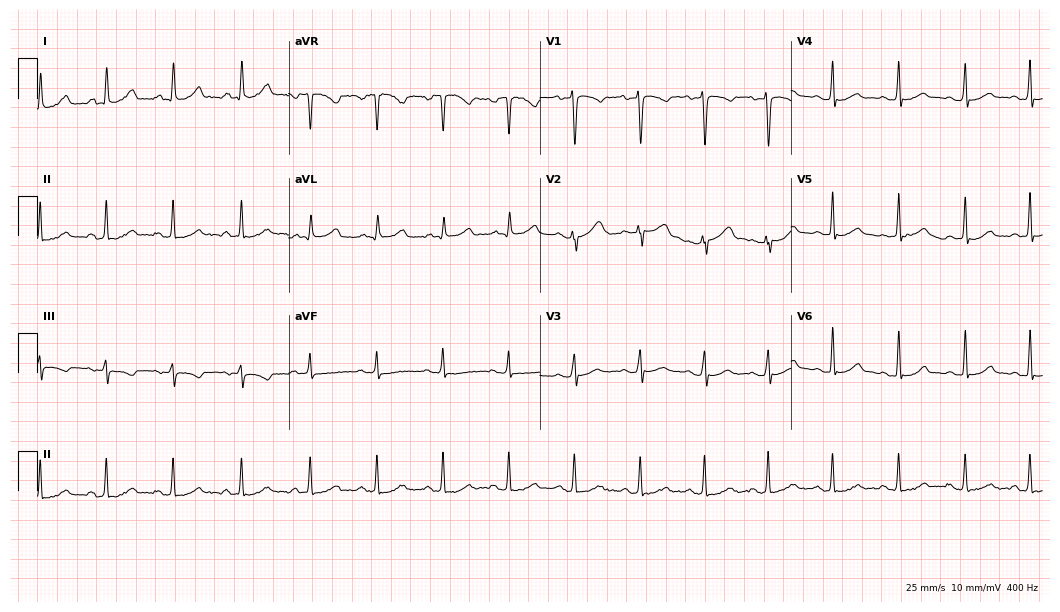
12-lead ECG from a 28-year-old woman. Recorded interpretation: within normal limits.